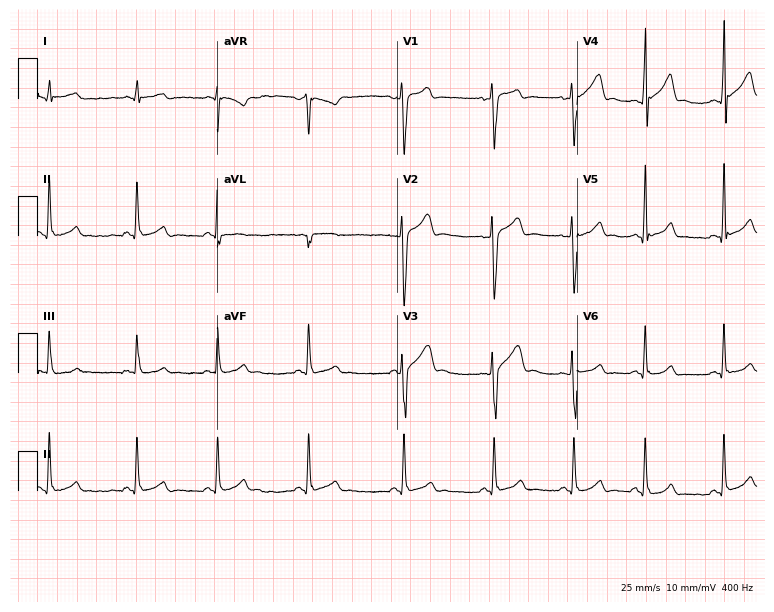
Resting 12-lead electrocardiogram (7.3-second recording at 400 Hz). Patient: a 20-year-old man. None of these six findings is recorded: first-degree AV block, right bundle branch block, left bundle branch block, sinus bradycardia, atrial fibrillation, sinus tachycardia. Only these six findings were labelled.